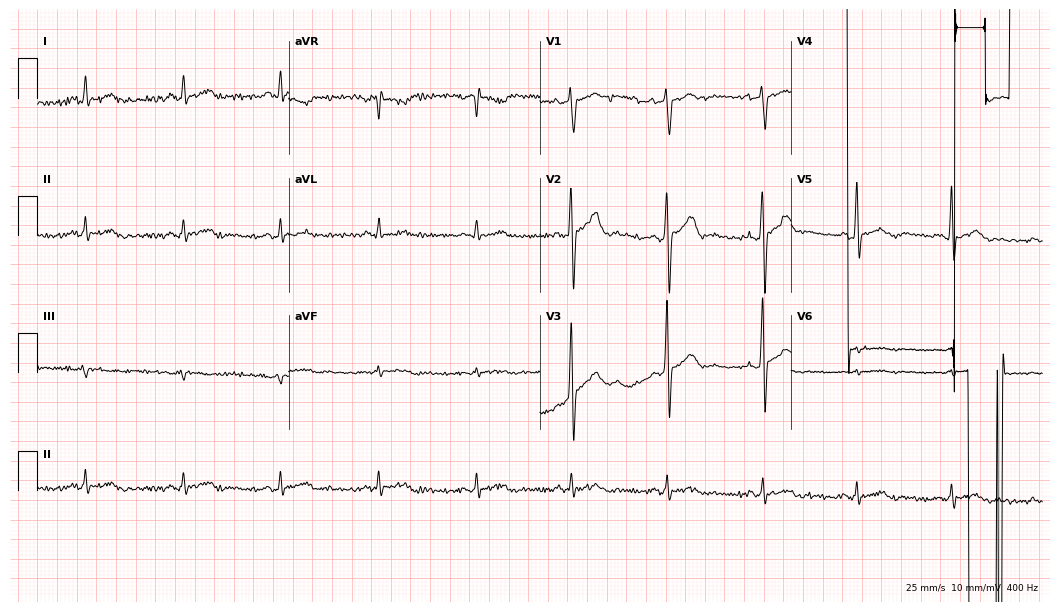
Electrocardiogram, a man, 44 years old. Overall reading on record: normal ECG.